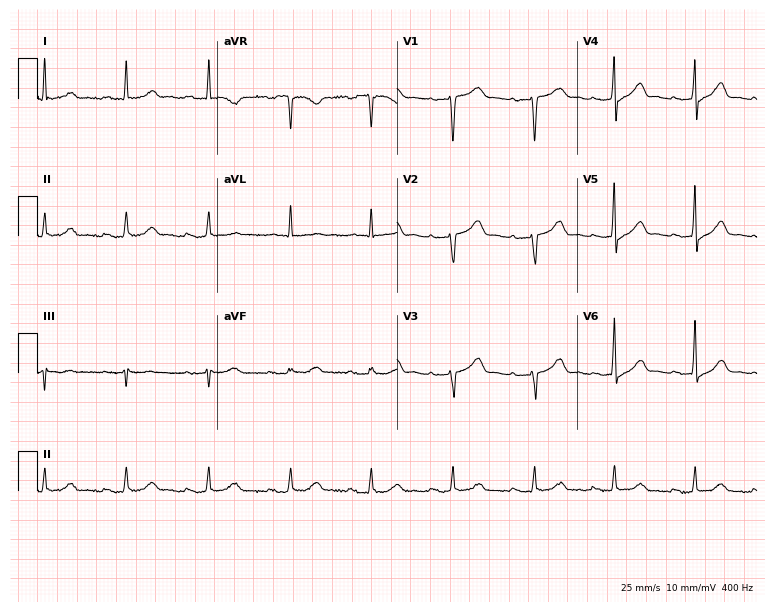
12-lead ECG (7.3-second recording at 400 Hz) from a male patient, 65 years old. Screened for six findings — first-degree AV block, right bundle branch block, left bundle branch block, sinus bradycardia, atrial fibrillation, sinus tachycardia — none is recorded.